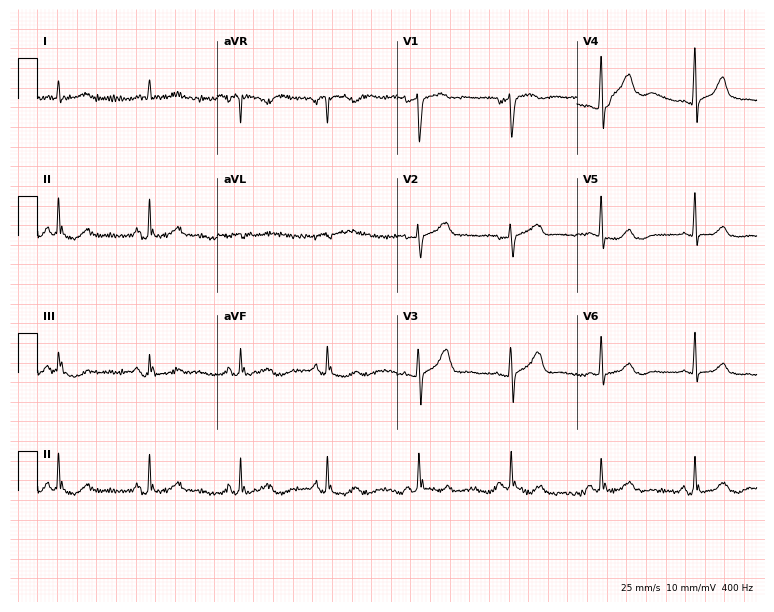
Electrocardiogram, a male patient, 84 years old. Overall reading on record: normal ECG.